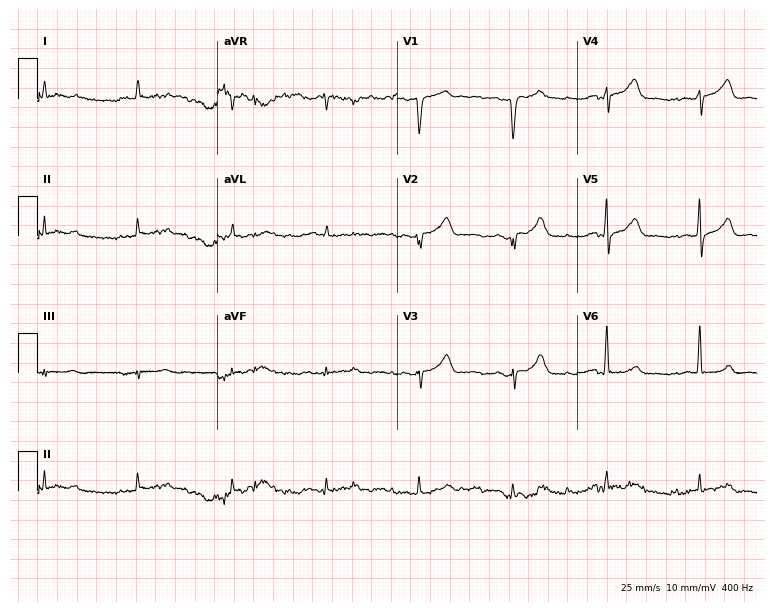
Resting 12-lead electrocardiogram (7.3-second recording at 400 Hz). Patient: a 68-year-old male. Read as a normal ECG.